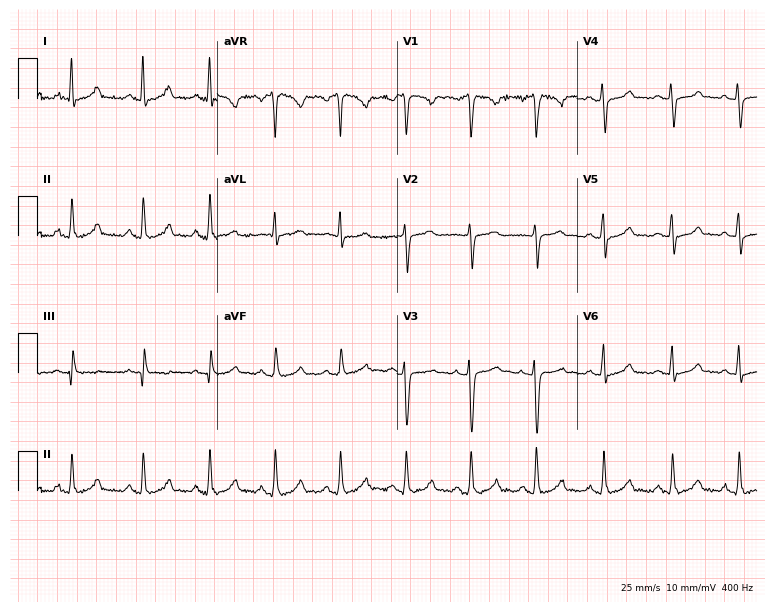
Resting 12-lead electrocardiogram (7.3-second recording at 400 Hz). Patient: a 27-year-old female. Read as a normal ECG.